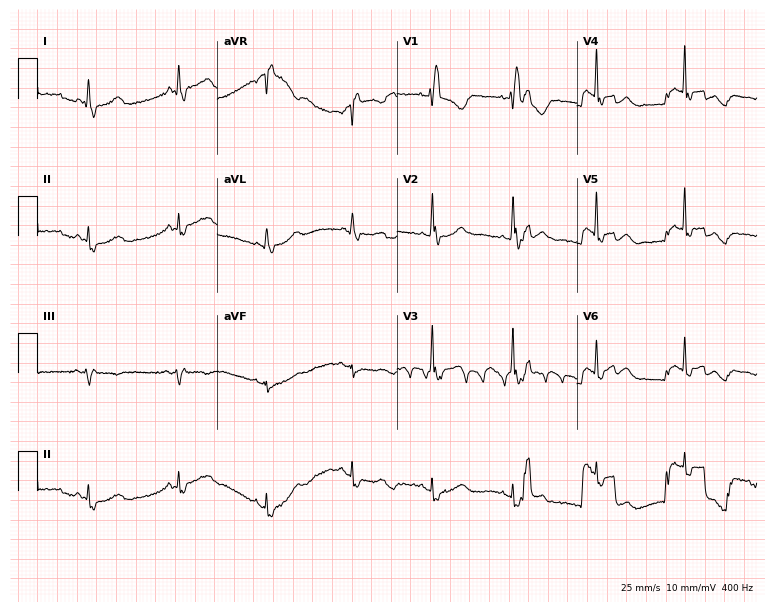
Standard 12-lead ECG recorded from a 43-year-old female patient (7.3-second recording at 400 Hz). The tracing shows right bundle branch block.